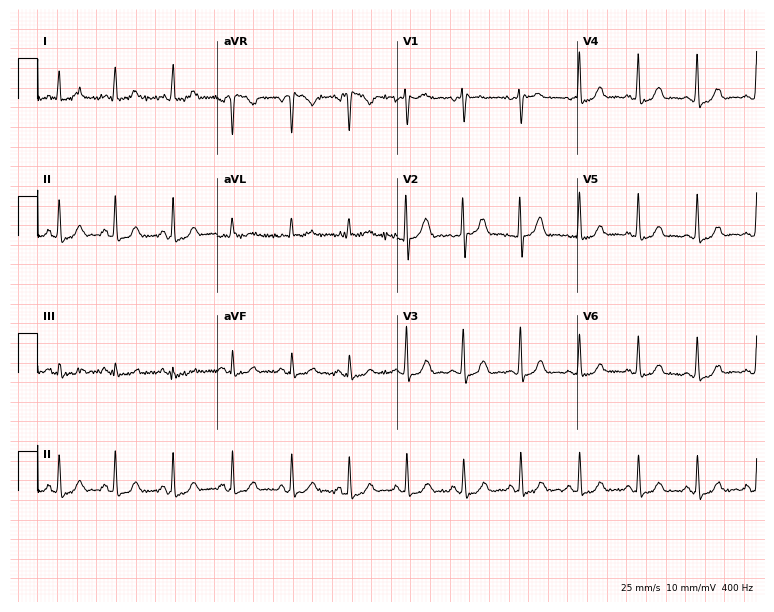
Electrocardiogram (7.3-second recording at 400 Hz), a 62-year-old woman. Overall reading on record: normal ECG.